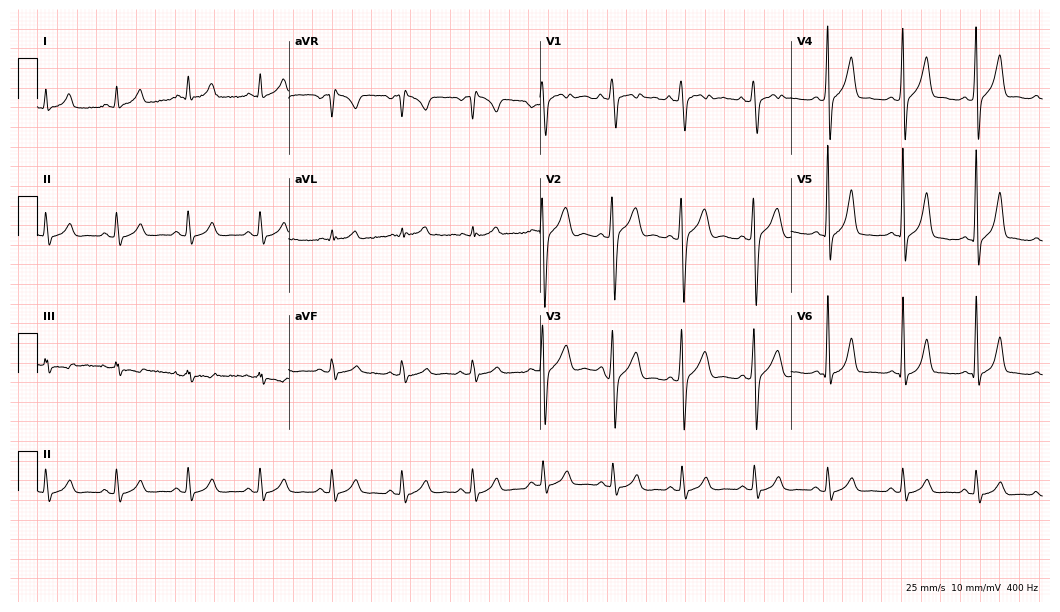
Electrocardiogram, a male, 20 years old. Overall reading on record: normal ECG.